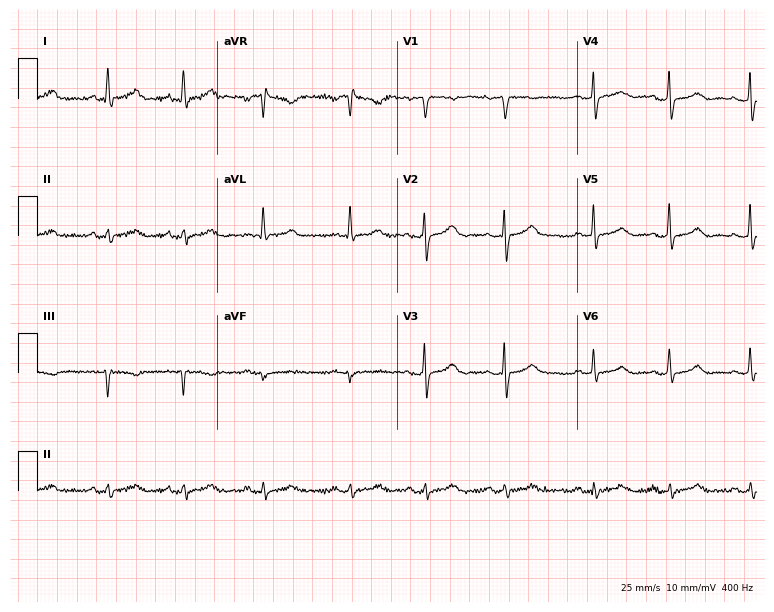
Electrocardiogram, a female patient, 35 years old. Of the six screened findings (first-degree AV block, right bundle branch block, left bundle branch block, sinus bradycardia, atrial fibrillation, sinus tachycardia), none is recorded.